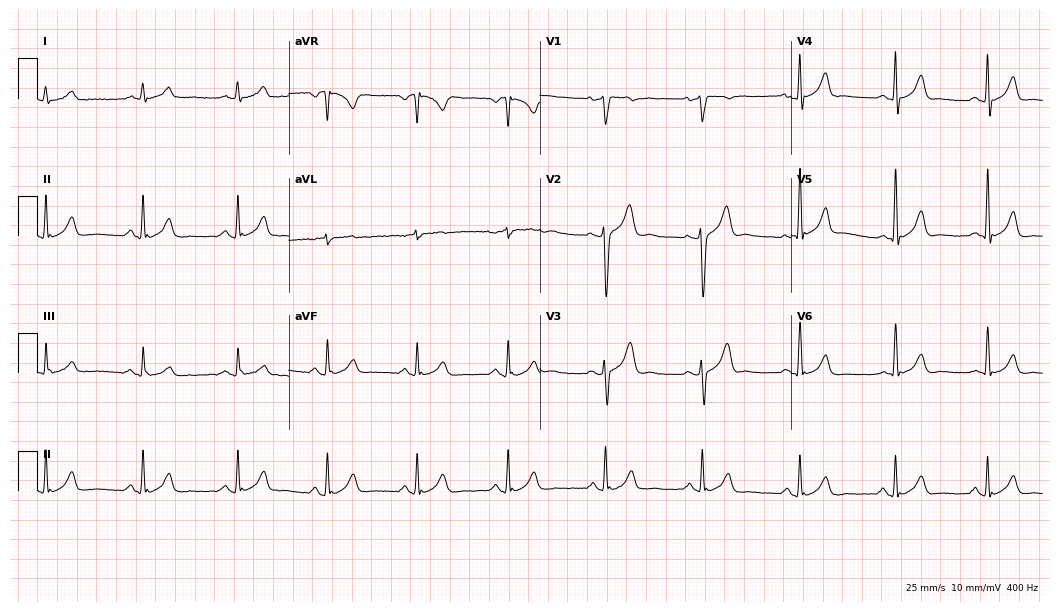
Resting 12-lead electrocardiogram (10.2-second recording at 400 Hz). Patient: a 56-year-old male. Read as a normal ECG.